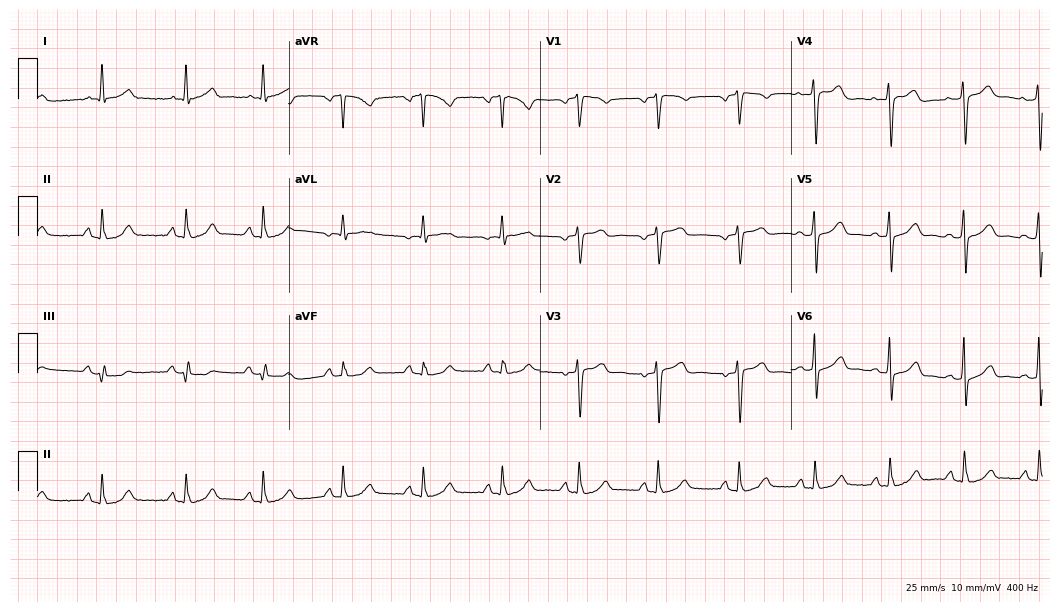
12-lead ECG (10.2-second recording at 400 Hz) from a woman, 51 years old. Labelled as a normal ECG.